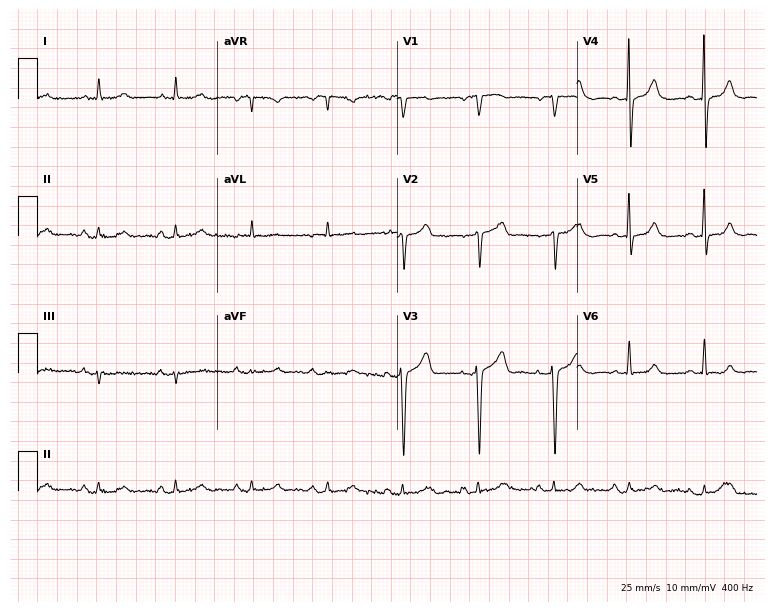
Electrocardiogram (7.3-second recording at 400 Hz), a male patient, 73 years old. Overall reading on record: normal ECG.